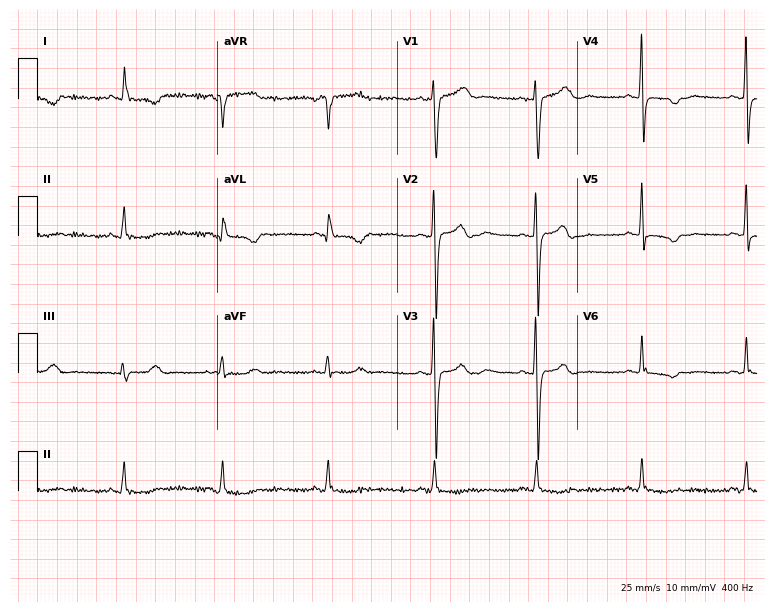
12-lead ECG (7.3-second recording at 400 Hz) from a 56-year-old female. Screened for six findings — first-degree AV block, right bundle branch block, left bundle branch block, sinus bradycardia, atrial fibrillation, sinus tachycardia — none is recorded. Findings outside these six are not listed.